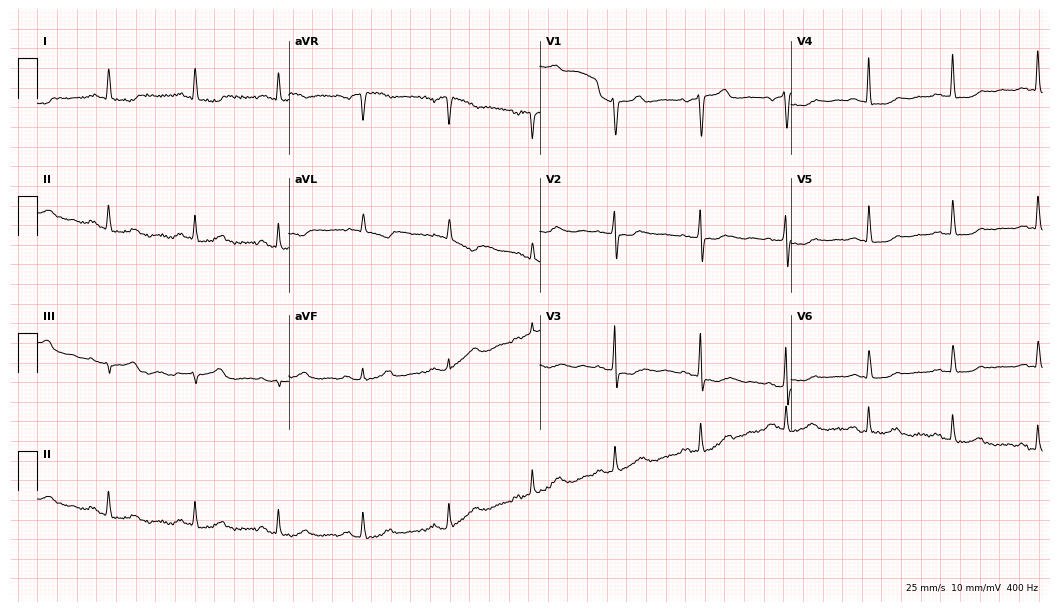
Standard 12-lead ECG recorded from a woman, 76 years old. None of these six findings is recorded: first-degree AV block, right bundle branch block, left bundle branch block, sinus bradycardia, atrial fibrillation, sinus tachycardia.